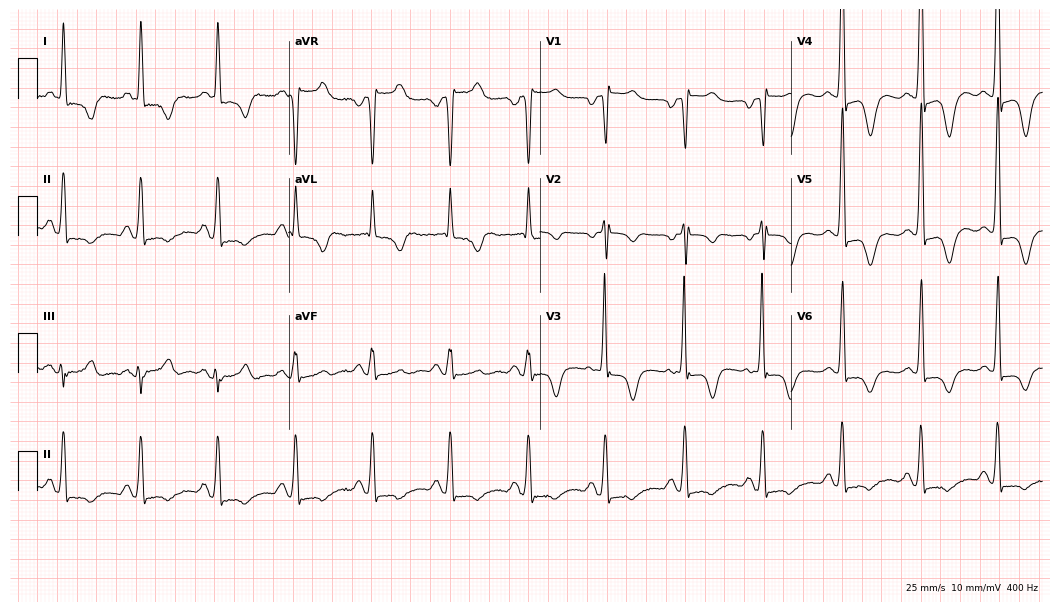
Resting 12-lead electrocardiogram. Patient: a female, 71 years old. None of these six findings is recorded: first-degree AV block, right bundle branch block, left bundle branch block, sinus bradycardia, atrial fibrillation, sinus tachycardia.